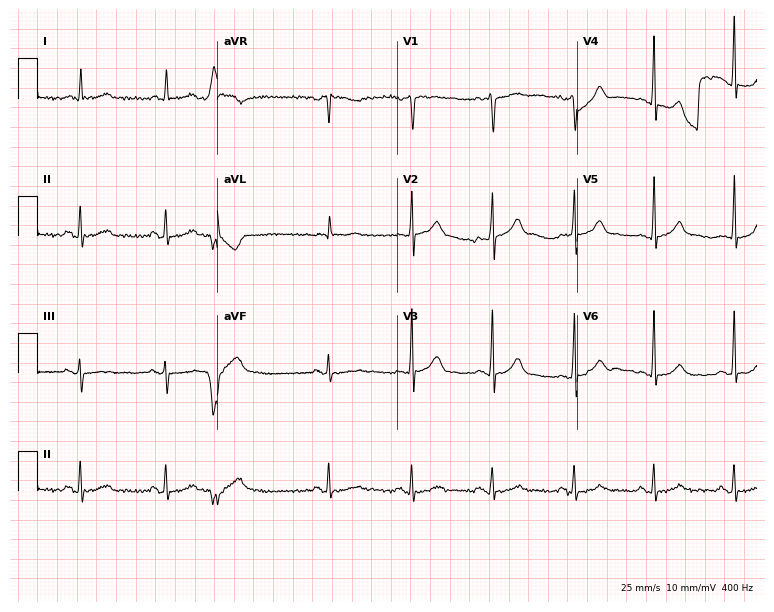
Electrocardiogram, a 62-year-old man. Of the six screened findings (first-degree AV block, right bundle branch block (RBBB), left bundle branch block (LBBB), sinus bradycardia, atrial fibrillation (AF), sinus tachycardia), none is recorded. Findings outside these six are not listed.